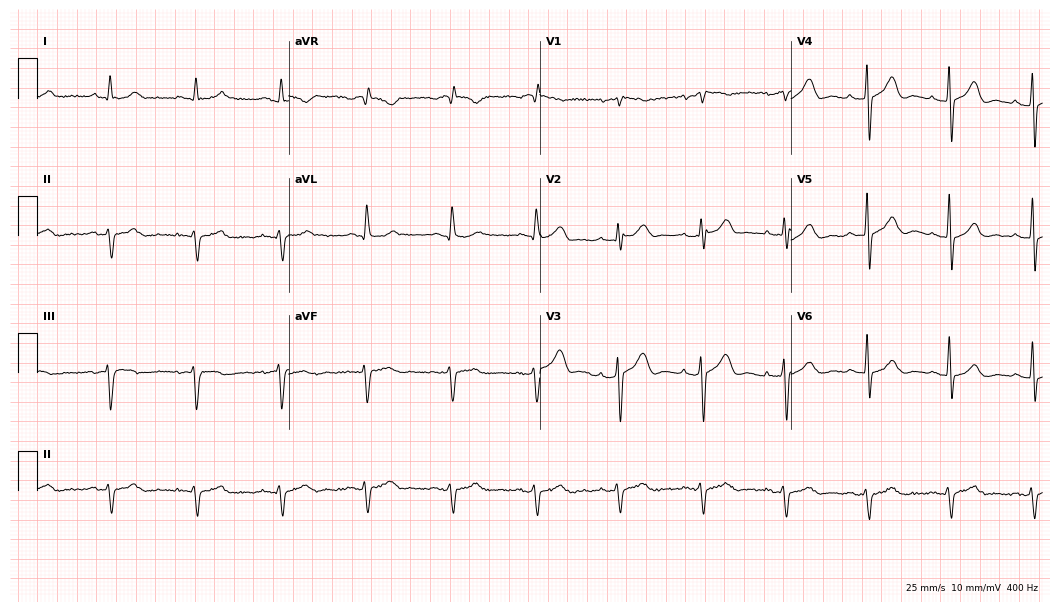
12-lead ECG from a male, 76 years old. No first-degree AV block, right bundle branch block (RBBB), left bundle branch block (LBBB), sinus bradycardia, atrial fibrillation (AF) or sinus tachycardia recorded for this tracing.